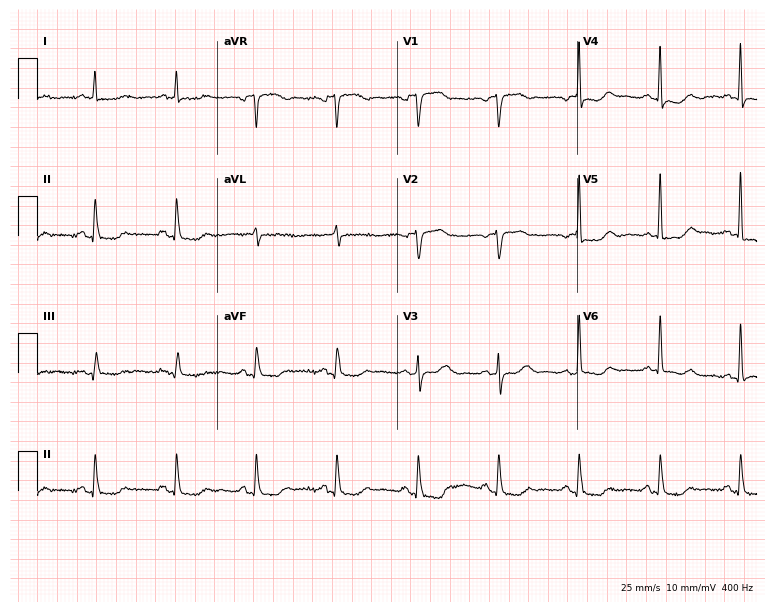
12-lead ECG from a 63-year-old woman. No first-degree AV block, right bundle branch block, left bundle branch block, sinus bradycardia, atrial fibrillation or sinus tachycardia recorded for this tracing.